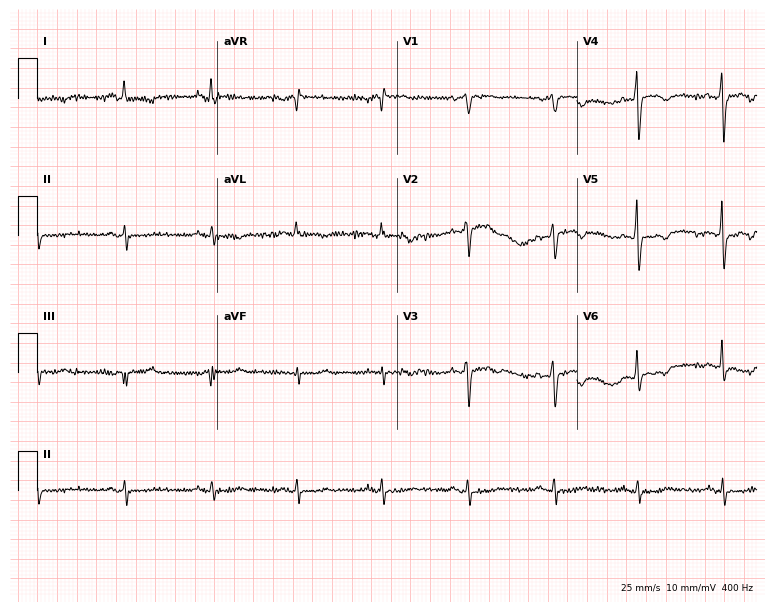
Standard 12-lead ECG recorded from a female patient, 59 years old. None of these six findings is recorded: first-degree AV block, right bundle branch block, left bundle branch block, sinus bradycardia, atrial fibrillation, sinus tachycardia.